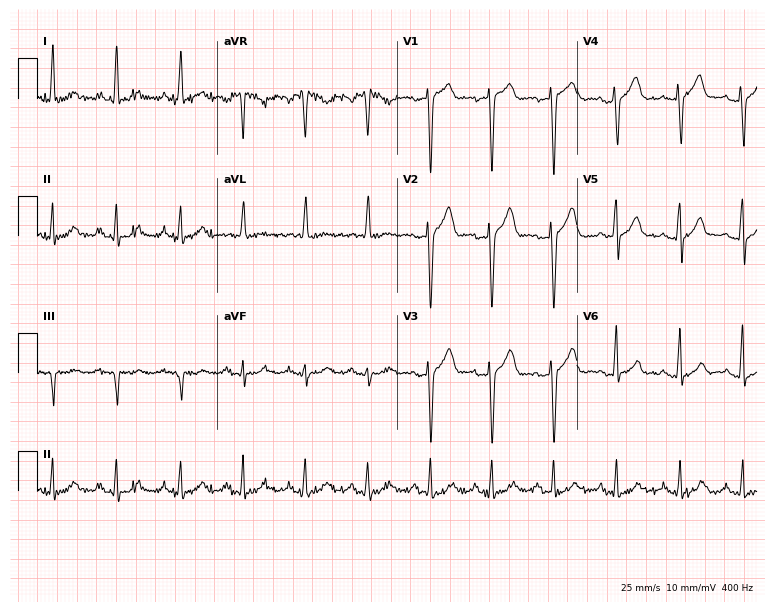
12-lead ECG from a male patient, 54 years old. Recorded interpretation: within normal limits.